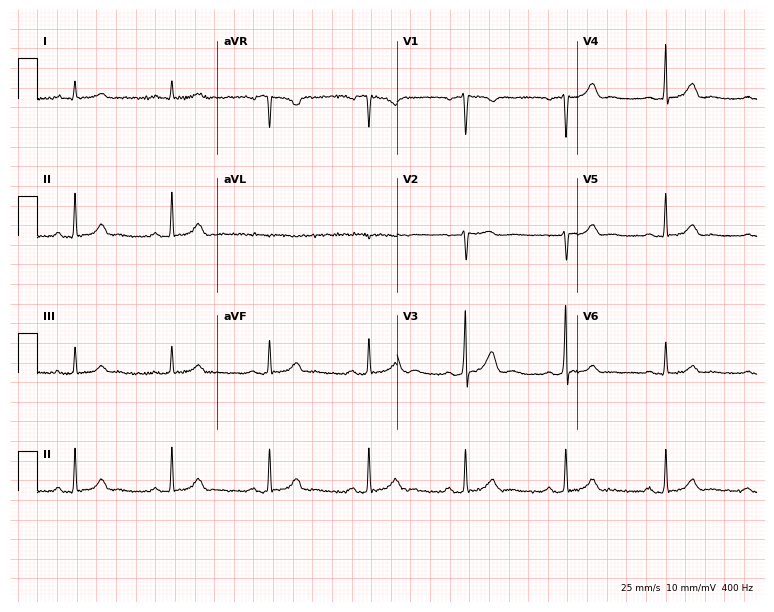
12-lead ECG from a male patient, 49 years old. No first-degree AV block, right bundle branch block (RBBB), left bundle branch block (LBBB), sinus bradycardia, atrial fibrillation (AF) or sinus tachycardia recorded for this tracing. Only these six findings were labelled.